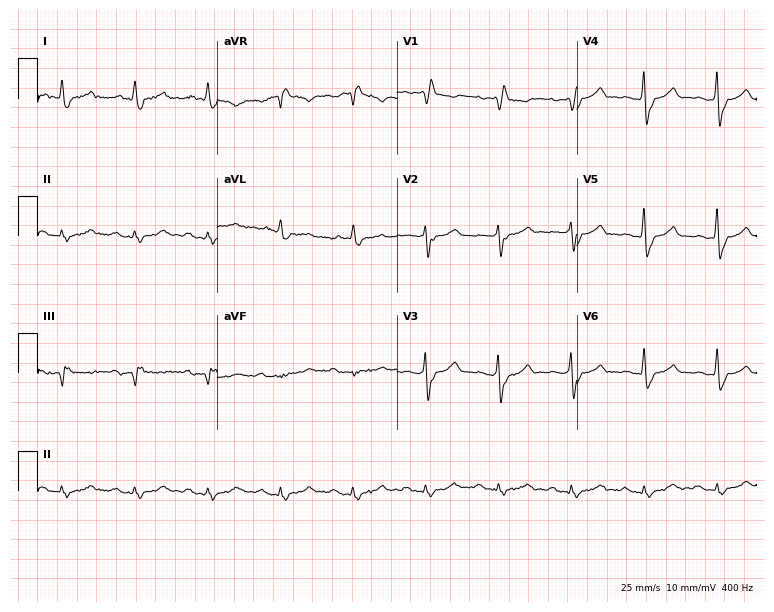
12-lead ECG from an 82-year-old male patient (7.3-second recording at 400 Hz). Shows right bundle branch block.